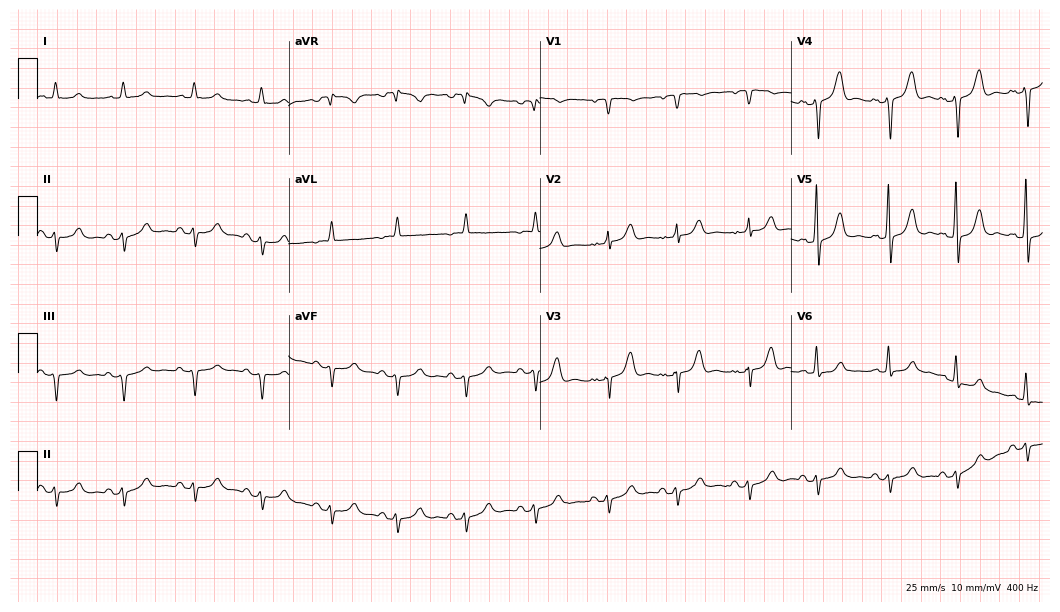
Standard 12-lead ECG recorded from an 80-year-old male (10.2-second recording at 400 Hz). None of these six findings is recorded: first-degree AV block, right bundle branch block, left bundle branch block, sinus bradycardia, atrial fibrillation, sinus tachycardia. Findings outside these six are not listed.